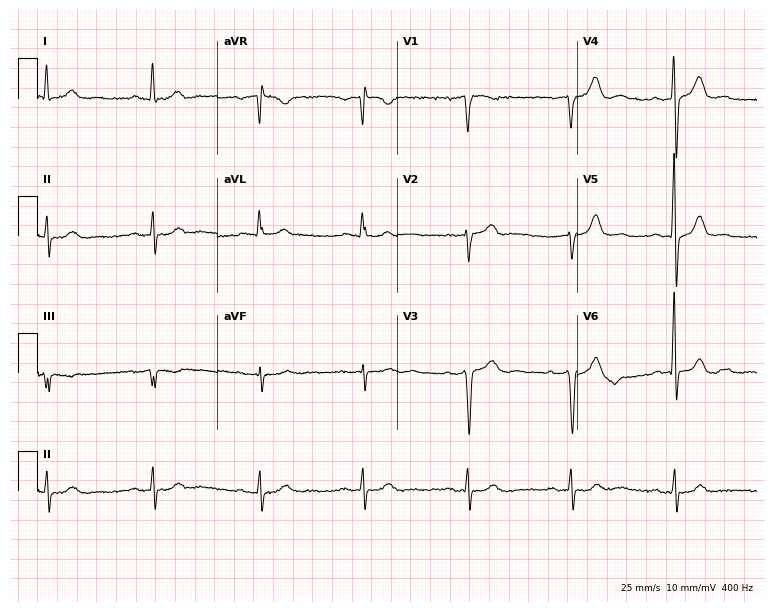
12-lead ECG from a 64-year-old man. No first-degree AV block, right bundle branch block (RBBB), left bundle branch block (LBBB), sinus bradycardia, atrial fibrillation (AF) or sinus tachycardia recorded for this tracing.